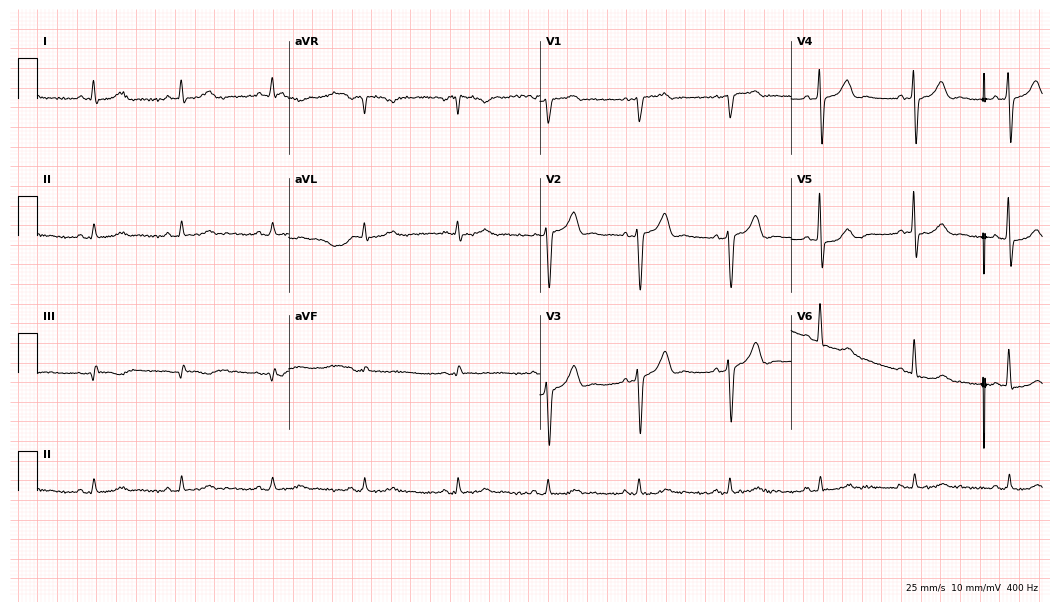
ECG (10.2-second recording at 400 Hz) — a man, 73 years old. Labelled as a normal ECG.